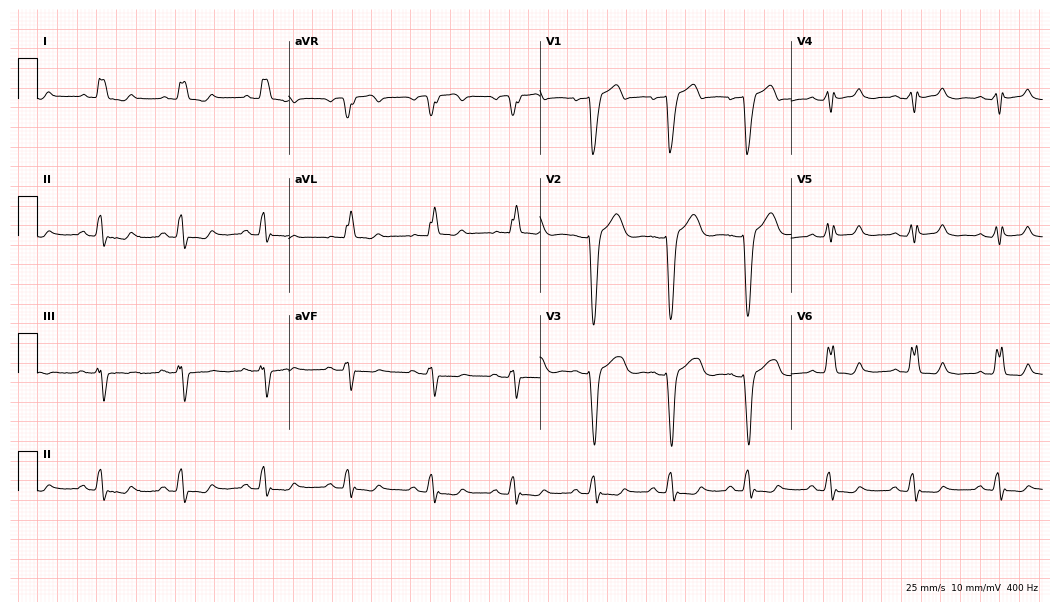
12-lead ECG from a 47-year-old woman. Findings include left bundle branch block.